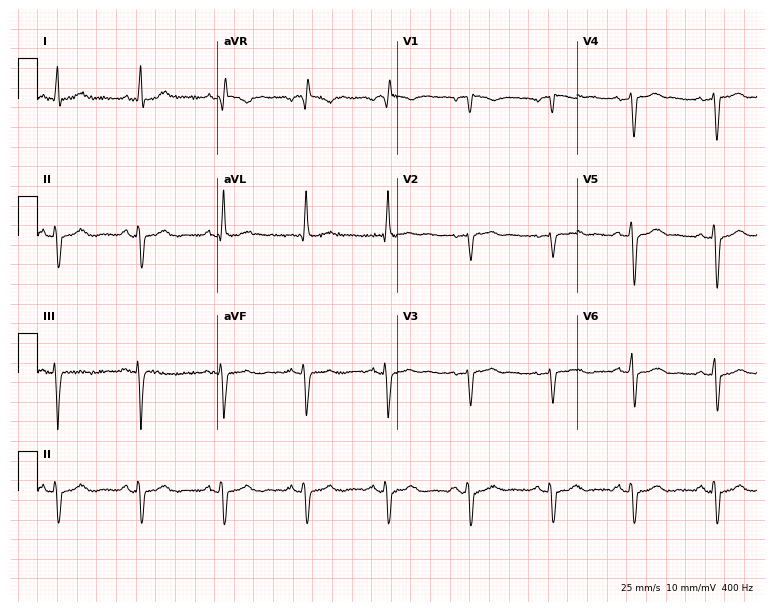
Electrocardiogram (7.3-second recording at 400 Hz), a 66-year-old male patient. Of the six screened findings (first-degree AV block, right bundle branch block (RBBB), left bundle branch block (LBBB), sinus bradycardia, atrial fibrillation (AF), sinus tachycardia), none is recorded.